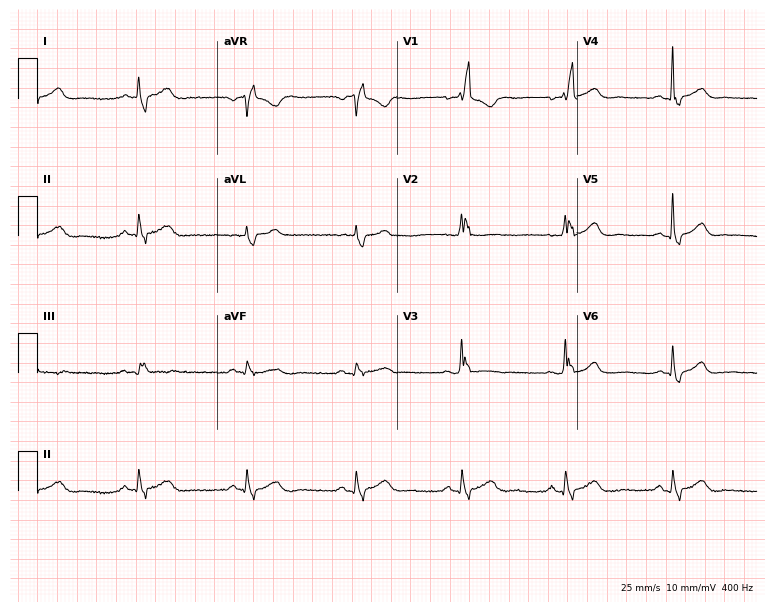
12-lead ECG from a 70-year-old woman (7.3-second recording at 400 Hz). Shows right bundle branch block.